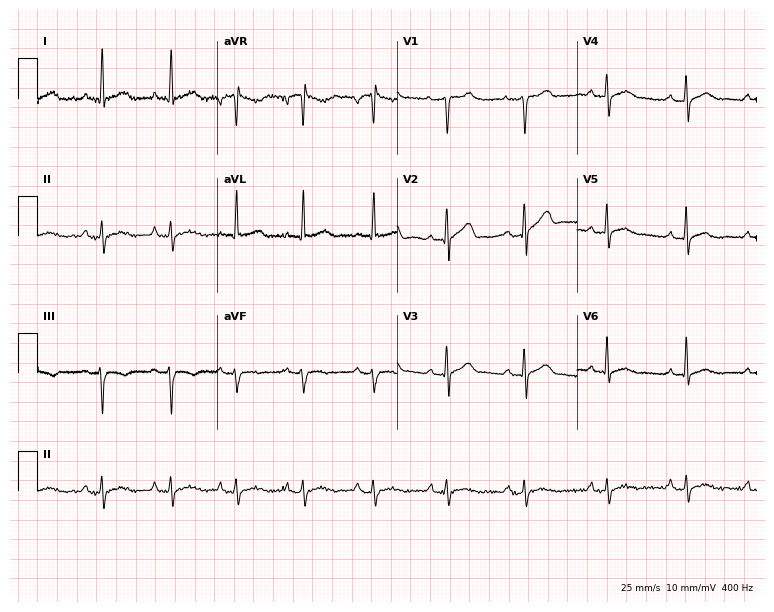
Resting 12-lead electrocardiogram. Patient: a 56-year-old man. Read as a normal ECG.